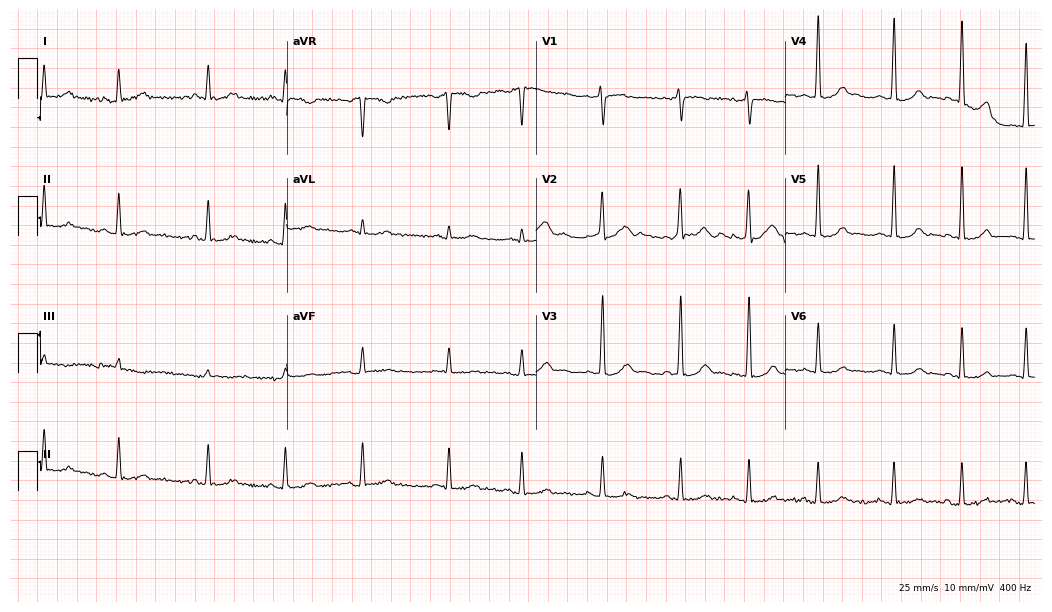
12-lead ECG (10.2-second recording at 400 Hz) from a 17-year-old female. Screened for six findings — first-degree AV block, right bundle branch block, left bundle branch block, sinus bradycardia, atrial fibrillation, sinus tachycardia — none is recorded. Findings outside these six are not listed.